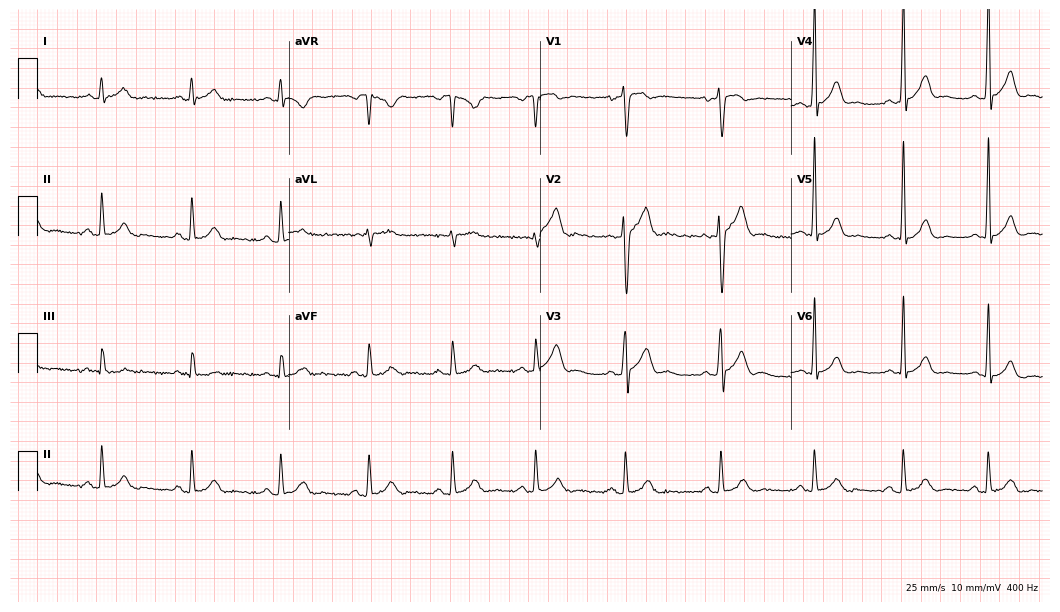
Resting 12-lead electrocardiogram (10.2-second recording at 400 Hz). Patient: a 25-year-old male. Read as a normal ECG.